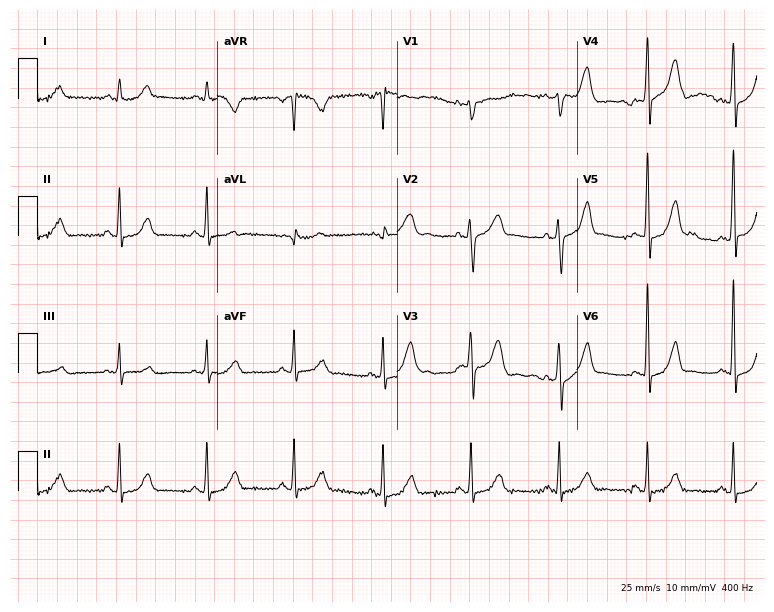
ECG (7.3-second recording at 400 Hz) — a 50-year-old male patient. Screened for six findings — first-degree AV block, right bundle branch block, left bundle branch block, sinus bradycardia, atrial fibrillation, sinus tachycardia — none is recorded.